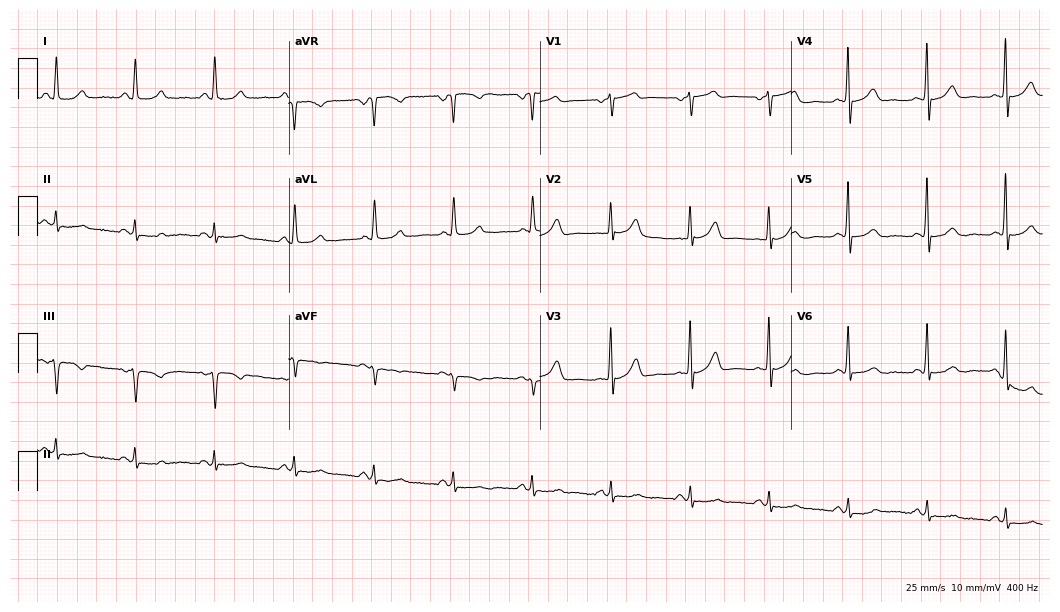
Standard 12-lead ECG recorded from a woman, 59 years old (10.2-second recording at 400 Hz). None of these six findings is recorded: first-degree AV block, right bundle branch block, left bundle branch block, sinus bradycardia, atrial fibrillation, sinus tachycardia.